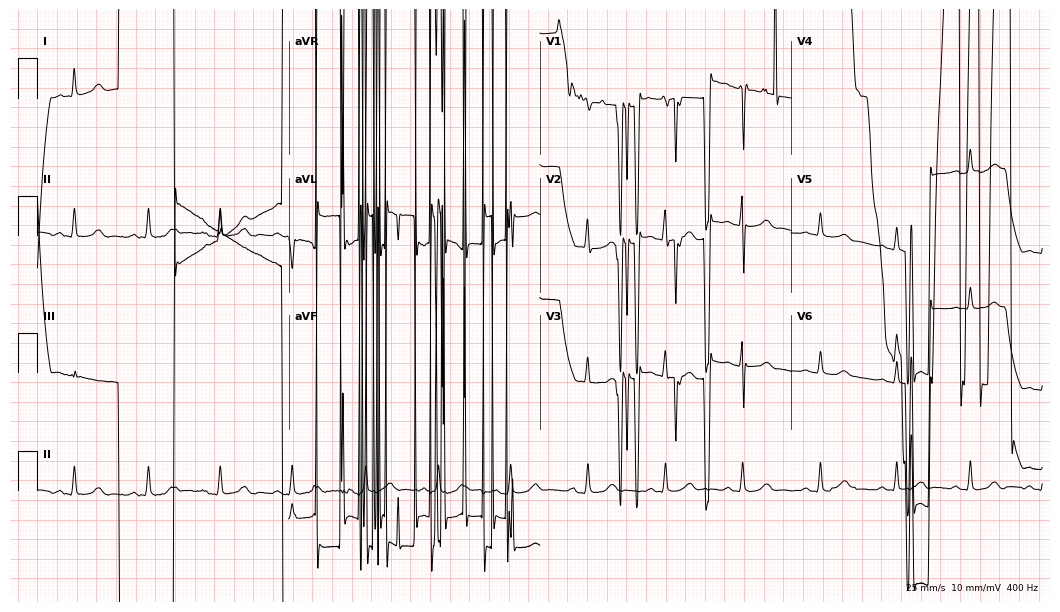
Standard 12-lead ECG recorded from a female patient, 42 years old (10.2-second recording at 400 Hz). None of these six findings is recorded: first-degree AV block, right bundle branch block, left bundle branch block, sinus bradycardia, atrial fibrillation, sinus tachycardia.